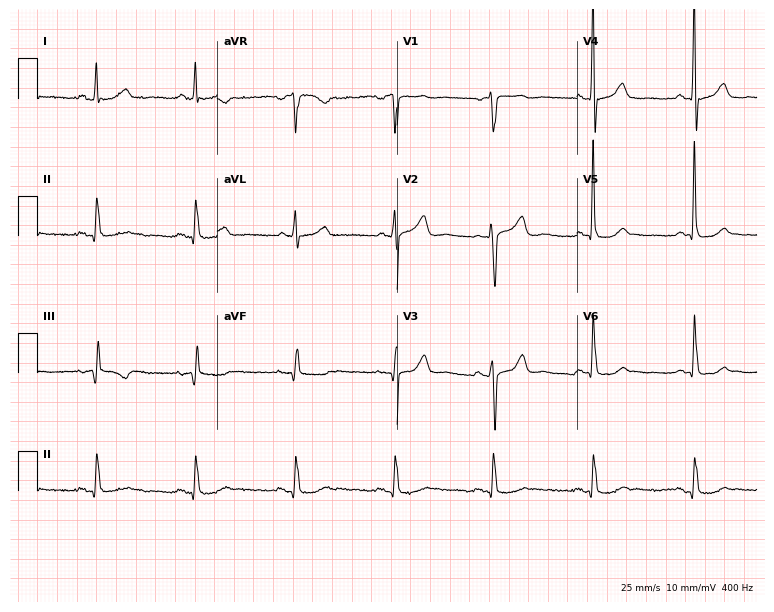
Resting 12-lead electrocardiogram. Patient: a 54-year-old male. Read as a normal ECG.